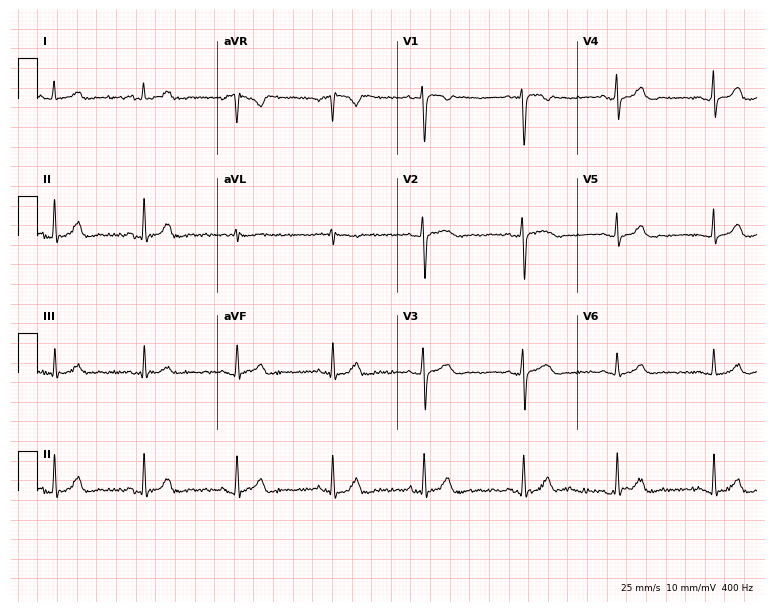
12-lead ECG from a woman, 21 years old (7.3-second recording at 400 Hz). Recorded interpretation: within normal limits.